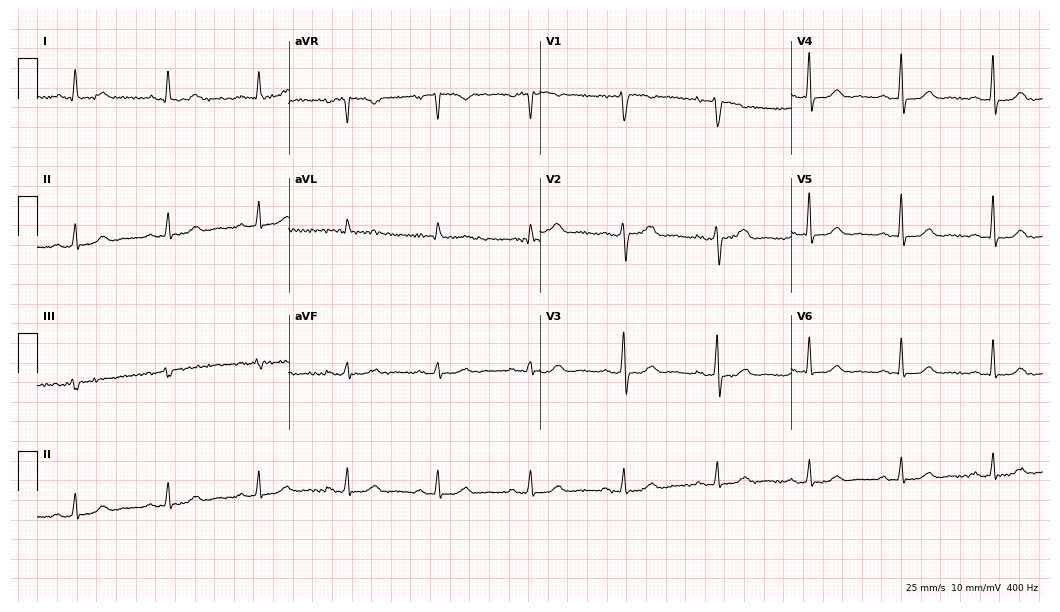
ECG — a female, 63 years old. Screened for six findings — first-degree AV block, right bundle branch block, left bundle branch block, sinus bradycardia, atrial fibrillation, sinus tachycardia — none is recorded.